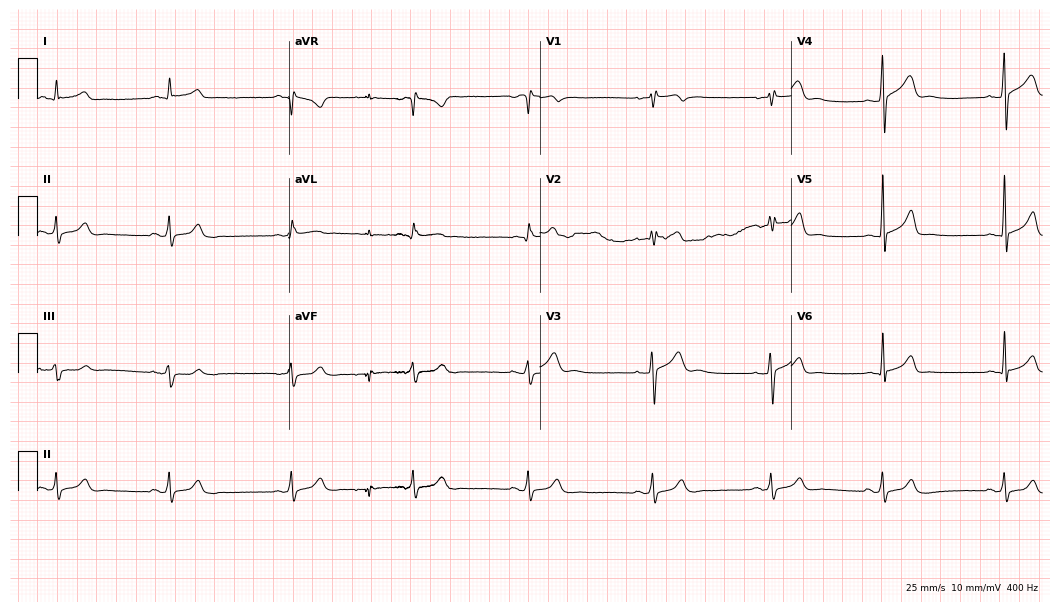
Electrocardiogram (10.2-second recording at 400 Hz), a 30-year-old male. Of the six screened findings (first-degree AV block, right bundle branch block (RBBB), left bundle branch block (LBBB), sinus bradycardia, atrial fibrillation (AF), sinus tachycardia), none is recorded.